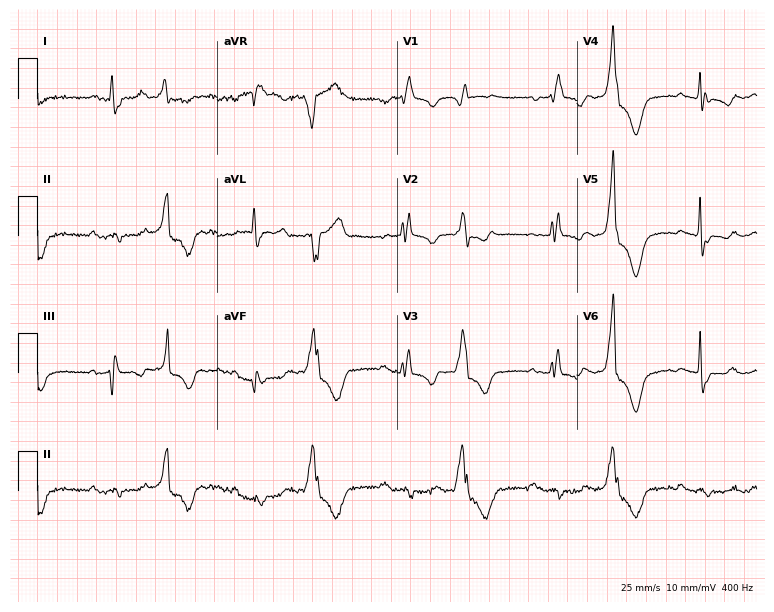
Standard 12-lead ECG recorded from a female patient, 68 years old. None of these six findings is recorded: first-degree AV block, right bundle branch block, left bundle branch block, sinus bradycardia, atrial fibrillation, sinus tachycardia.